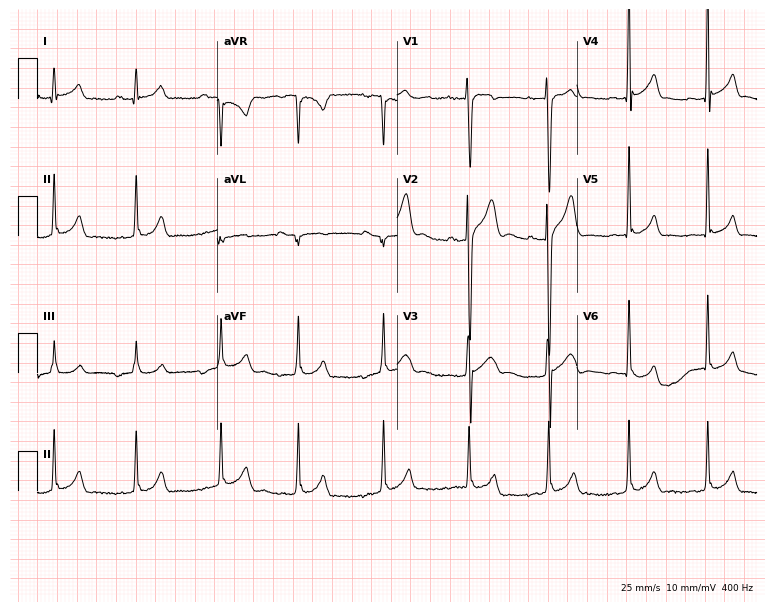
ECG — a male patient, 17 years old. Screened for six findings — first-degree AV block, right bundle branch block, left bundle branch block, sinus bradycardia, atrial fibrillation, sinus tachycardia — none is recorded.